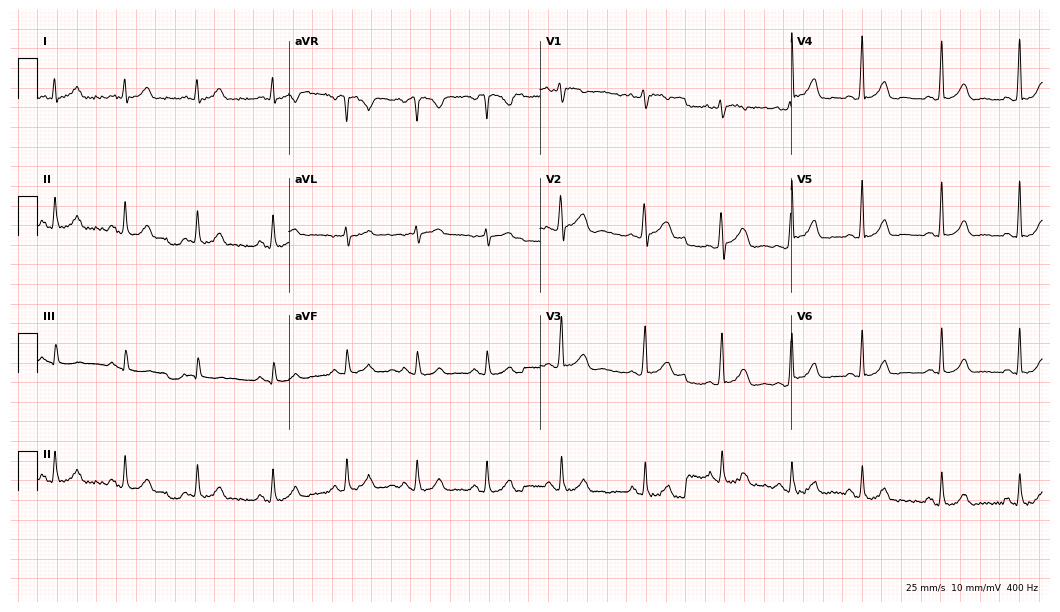
12-lead ECG from a male, 34 years old. Labelled as a normal ECG.